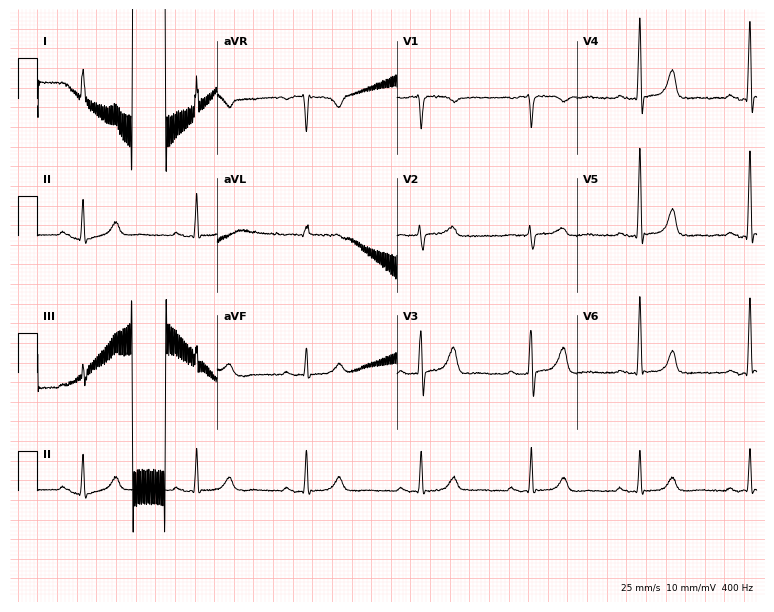
ECG (7.3-second recording at 400 Hz) — a 23-year-old female. Screened for six findings — first-degree AV block, right bundle branch block, left bundle branch block, sinus bradycardia, atrial fibrillation, sinus tachycardia — none is recorded.